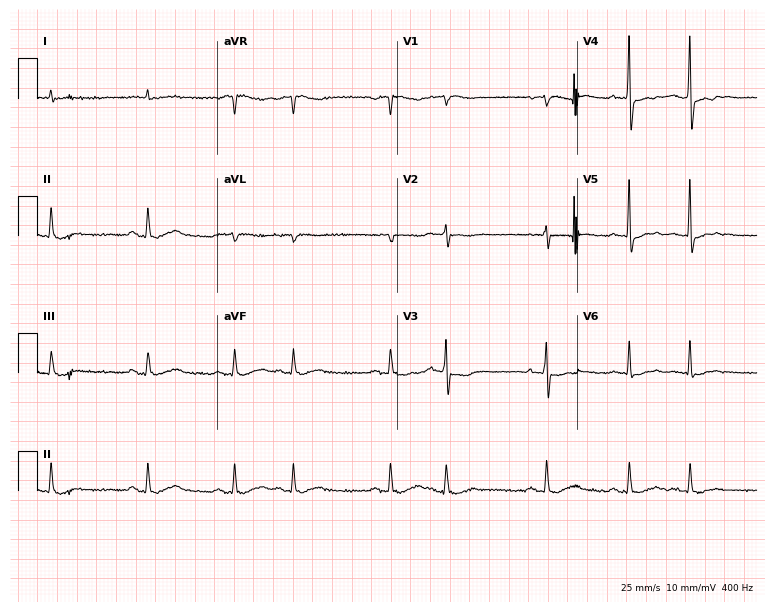
Resting 12-lead electrocardiogram (7.3-second recording at 400 Hz). Patient: a 79-year-old male. None of these six findings is recorded: first-degree AV block, right bundle branch block (RBBB), left bundle branch block (LBBB), sinus bradycardia, atrial fibrillation (AF), sinus tachycardia. Other findings, if any, are not listed.